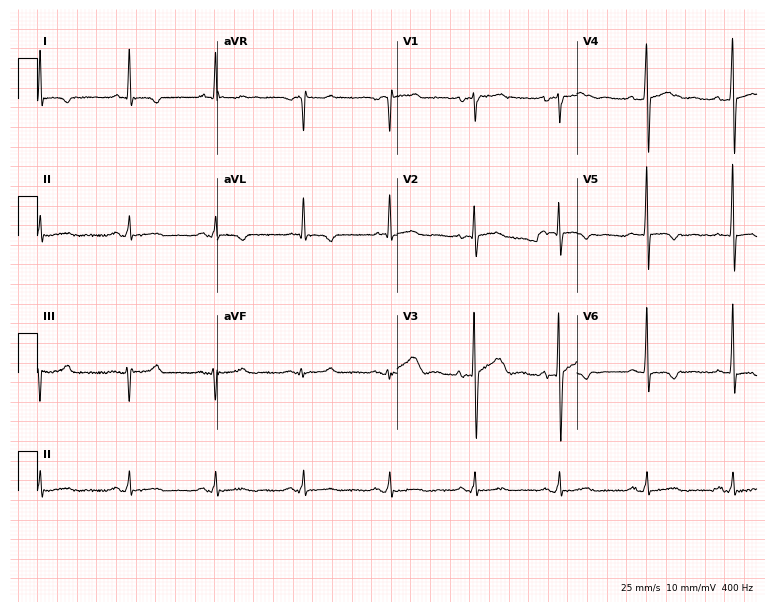
12-lead ECG from a male patient, 63 years old (7.3-second recording at 400 Hz). No first-degree AV block, right bundle branch block (RBBB), left bundle branch block (LBBB), sinus bradycardia, atrial fibrillation (AF) or sinus tachycardia recorded for this tracing.